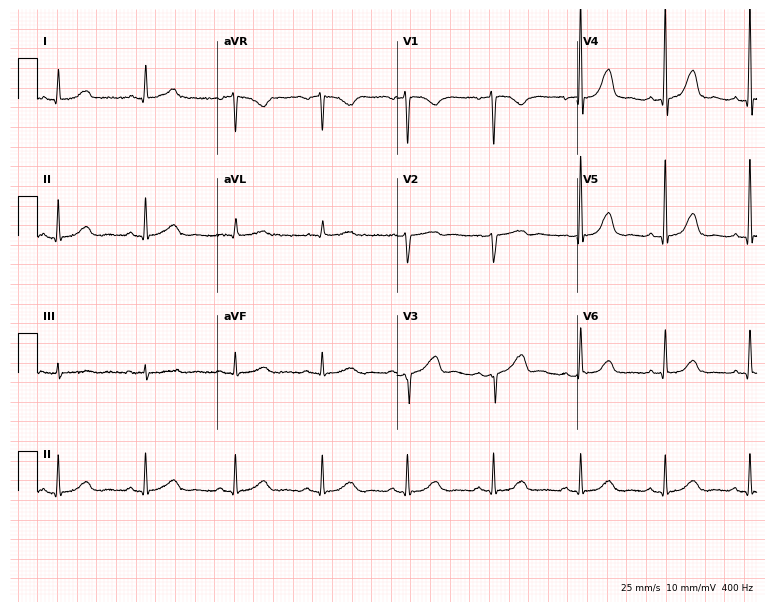
Standard 12-lead ECG recorded from a female patient, 48 years old (7.3-second recording at 400 Hz). None of these six findings is recorded: first-degree AV block, right bundle branch block, left bundle branch block, sinus bradycardia, atrial fibrillation, sinus tachycardia.